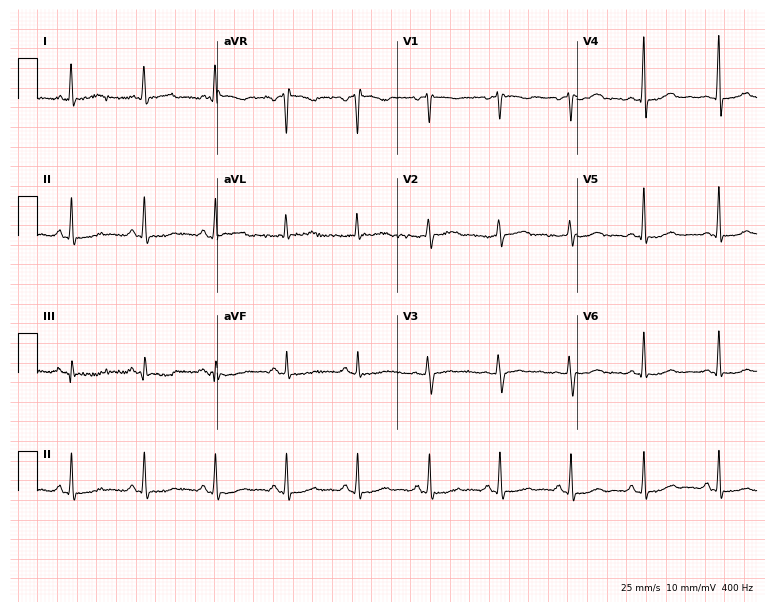
Standard 12-lead ECG recorded from a female patient, 54 years old (7.3-second recording at 400 Hz). Read as a normal ECG.